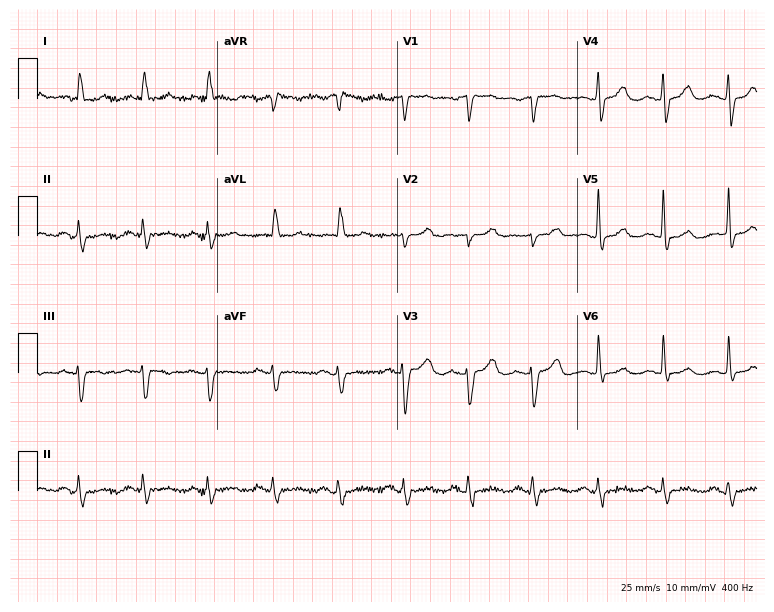
Electrocardiogram (7.3-second recording at 400 Hz), a 77-year-old woman. Overall reading on record: normal ECG.